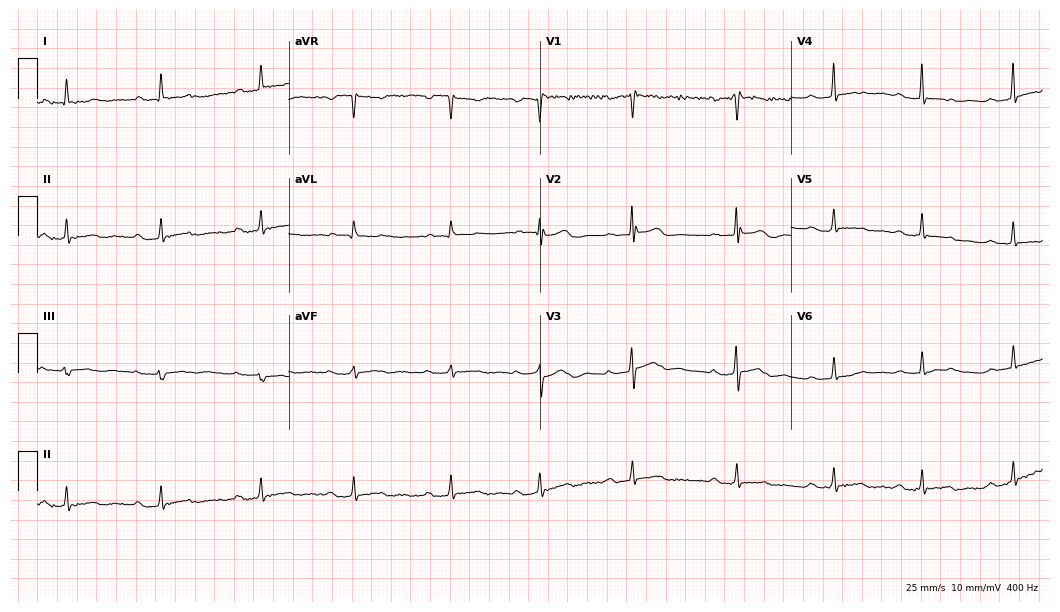
12-lead ECG from a 71-year-old female patient (10.2-second recording at 400 Hz). No first-degree AV block, right bundle branch block, left bundle branch block, sinus bradycardia, atrial fibrillation or sinus tachycardia recorded for this tracing. Other findings, if any, are not listed.